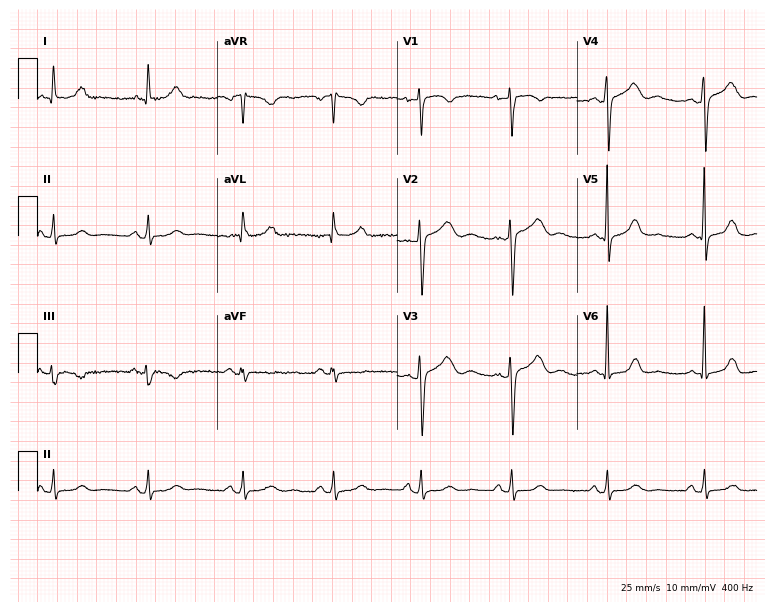
ECG — a 60-year-old female patient. Screened for six findings — first-degree AV block, right bundle branch block (RBBB), left bundle branch block (LBBB), sinus bradycardia, atrial fibrillation (AF), sinus tachycardia — none is recorded.